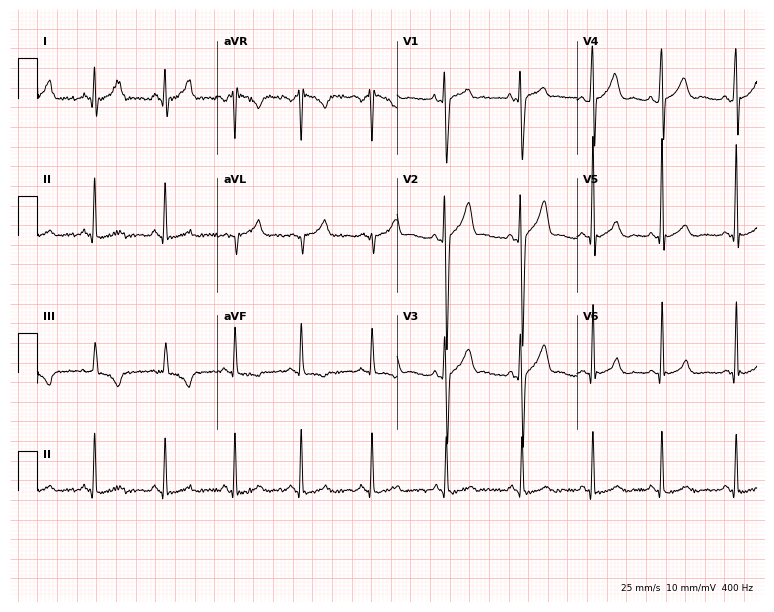
12-lead ECG from a man, 29 years old. No first-degree AV block, right bundle branch block, left bundle branch block, sinus bradycardia, atrial fibrillation or sinus tachycardia recorded for this tracing. Other findings, if any, are not listed.